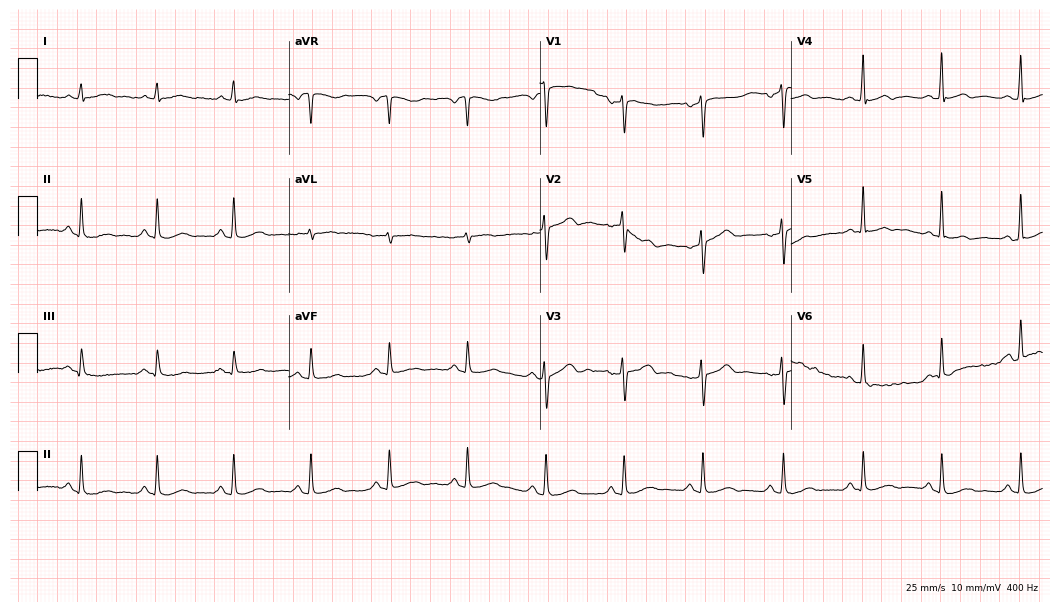
12-lead ECG from a 40-year-old woman. Recorded interpretation: within normal limits.